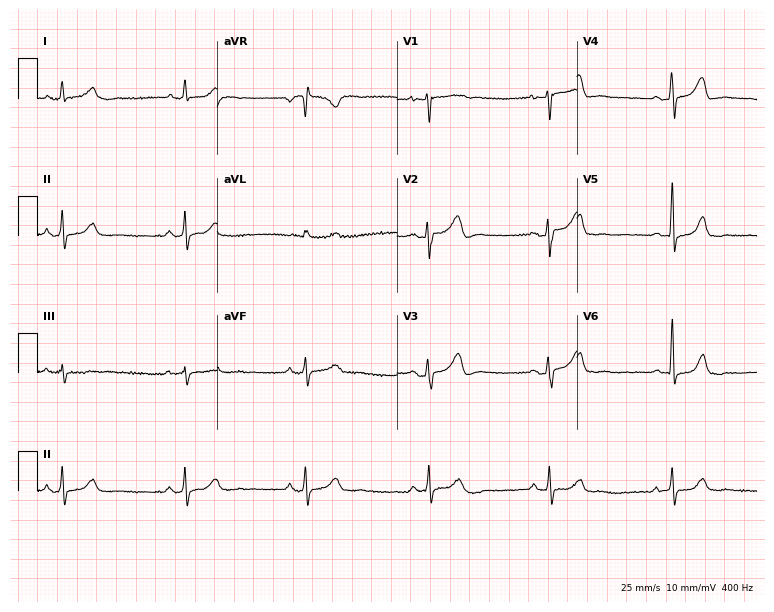
ECG — a 63-year-old female. Labelled as a normal ECG.